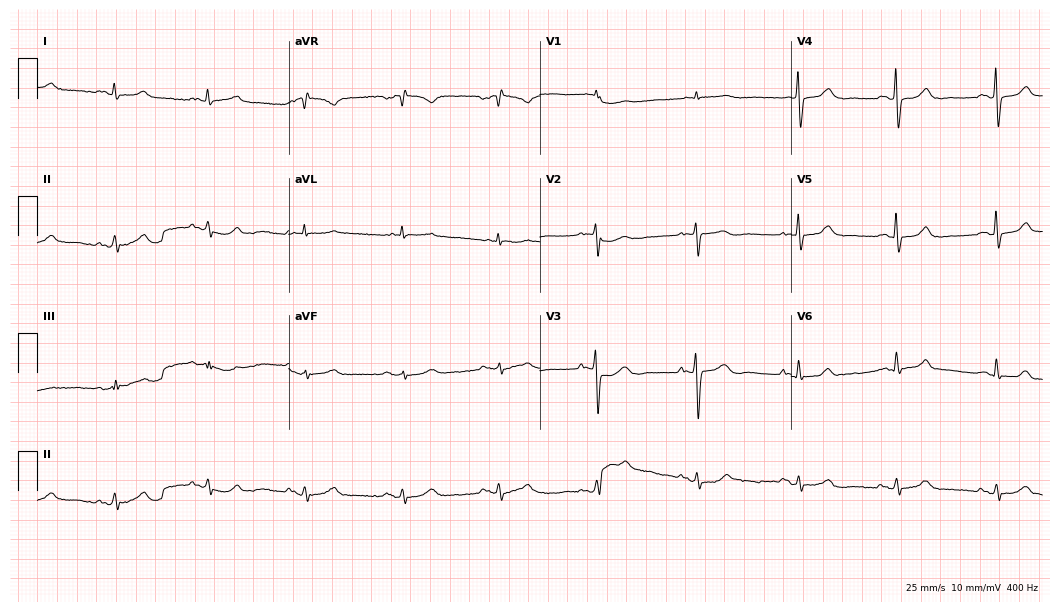
Standard 12-lead ECG recorded from a 77-year-old woman. None of these six findings is recorded: first-degree AV block, right bundle branch block (RBBB), left bundle branch block (LBBB), sinus bradycardia, atrial fibrillation (AF), sinus tachycardia.